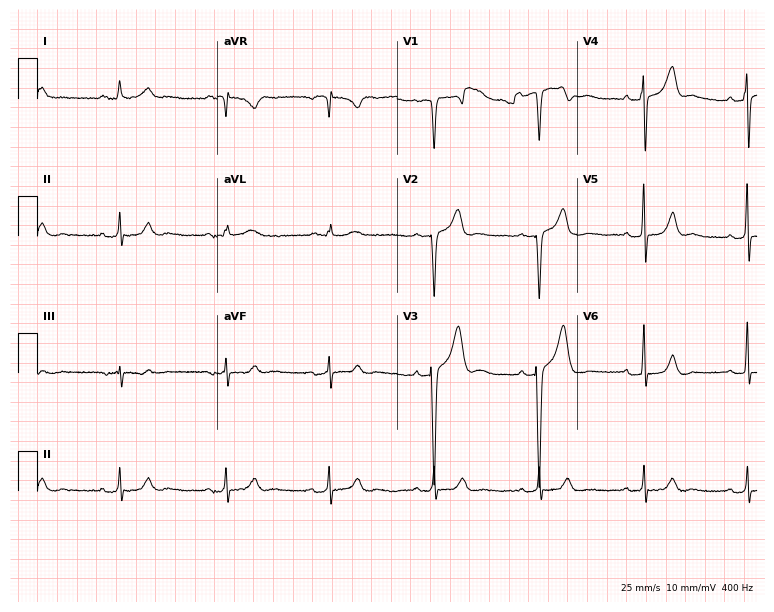
Standard 12-lead ECG recorded from a 69-year-old man (7.3-second recording at 400 Hz). None of these six findings is recorded: first-degree AV block, right bundle branch block (RBBB), left bundle branch block (LBBB), sinus bradycardia, atrial fibrillation (AF), sinus tachycardia.